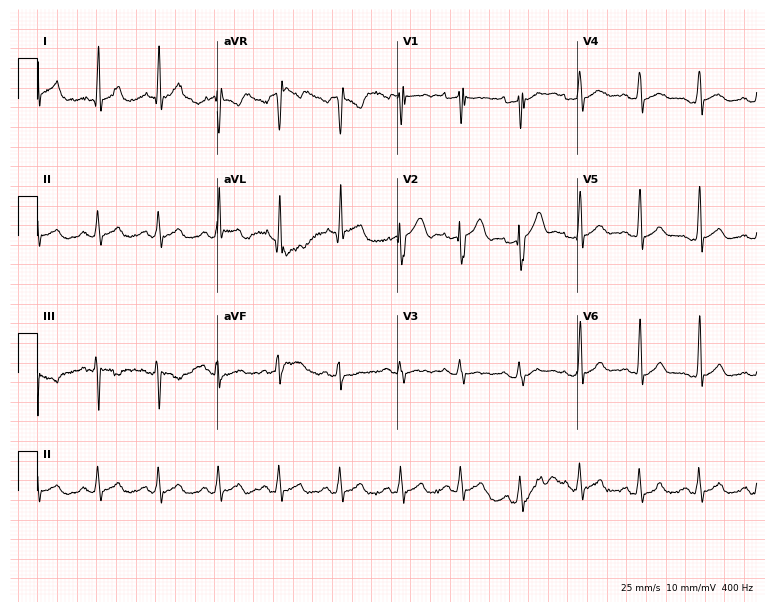
12-lead ECG from a 29-year-old male patient (7.3-second recording at 400 Hz). No first-degree AV block, right bundle branch block, left bundle branch block, sinus bradycardia, atrial fibrillation or sinus tachycardia recorded for this tracing.